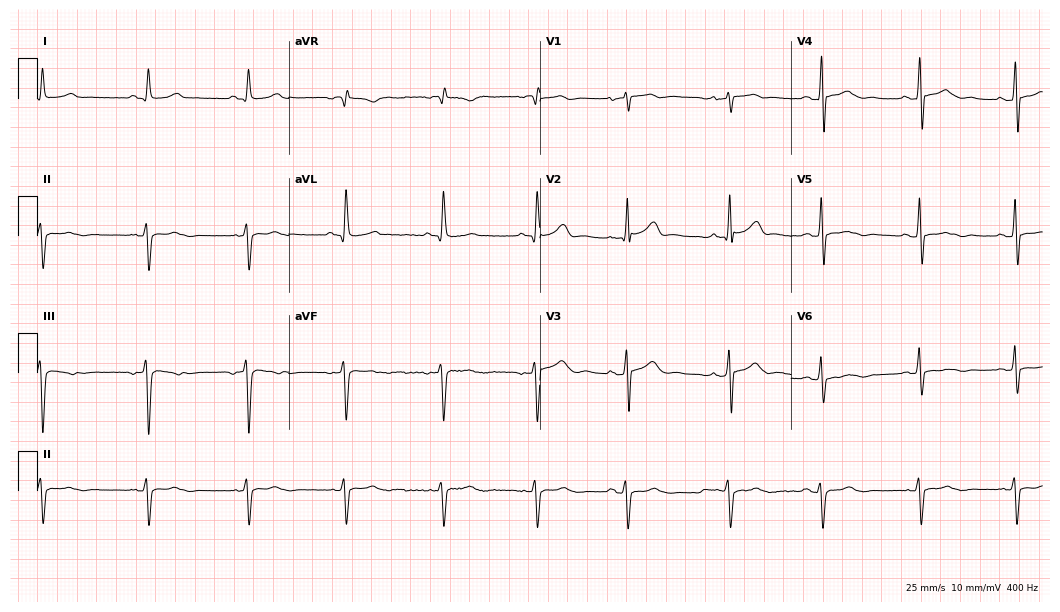
ECG (10.2-second recording at 400 Hz) — a 67-year-old man. Screened for six findings — first-degree AV block, right bundle branch block (RBBB), left bundle branch block (LBBB), sinus bradycardia, atrial fibrillation (AF), sinus tachycardia — none is recorded. Findings outside these six are not listed.